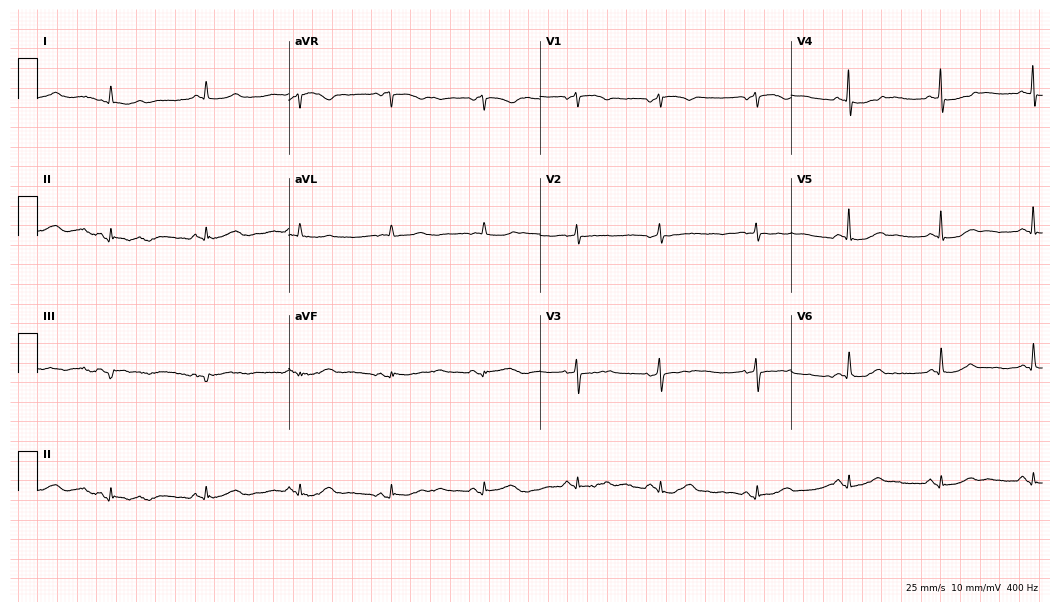
Standard 12-lead ECG recorded from a 76-year-old female (10.2-second recording at 400 Hz). Read as a normal ECG.